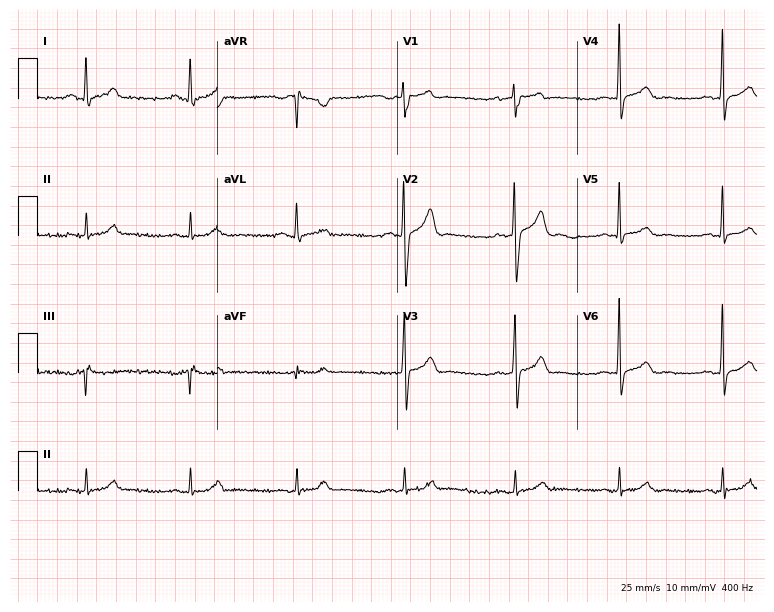
12-lead ECG from a 40-year-old male patient (7.3-second recording at 400 Hz). Recorded interpretation: within normal limits.